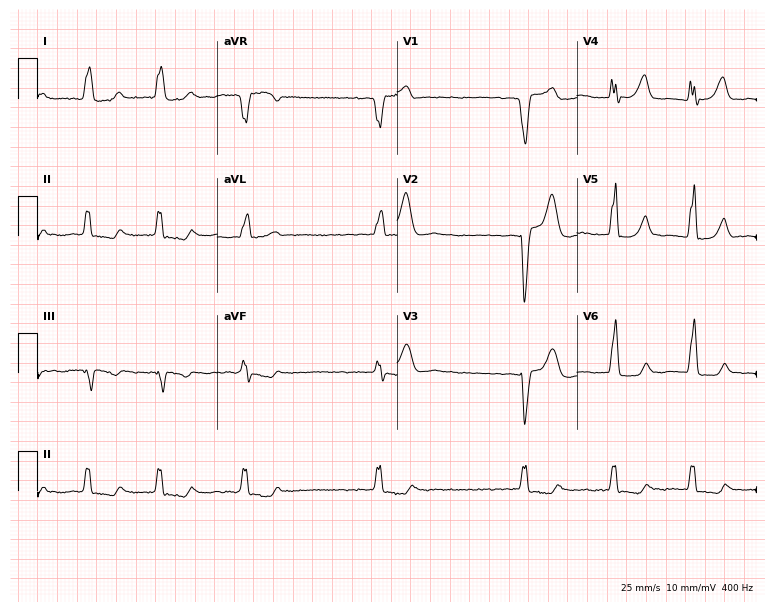
12-lead ECG from a 62-year-old female patient. Findings include atrial fibrillation.